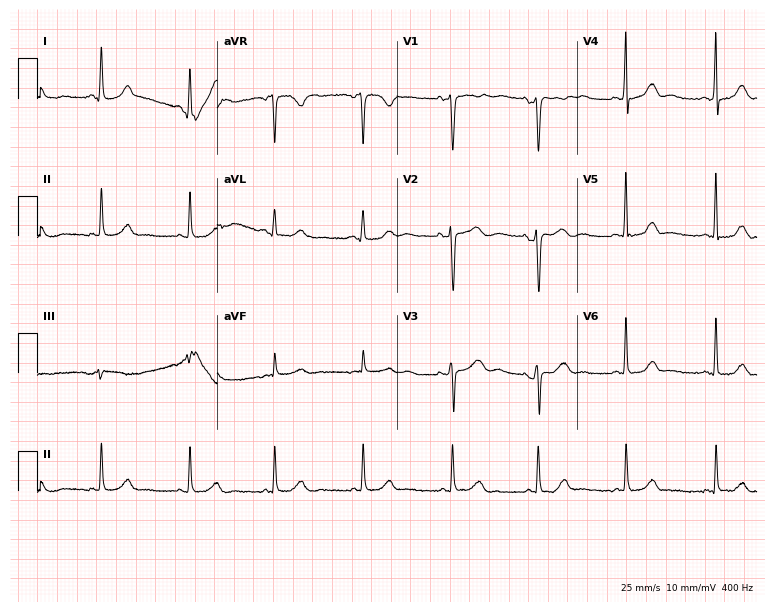
12-lead ECG (7.3-second recording at 400 Hz) from a 52-year-old female patient. Labelled as a normal ECG.